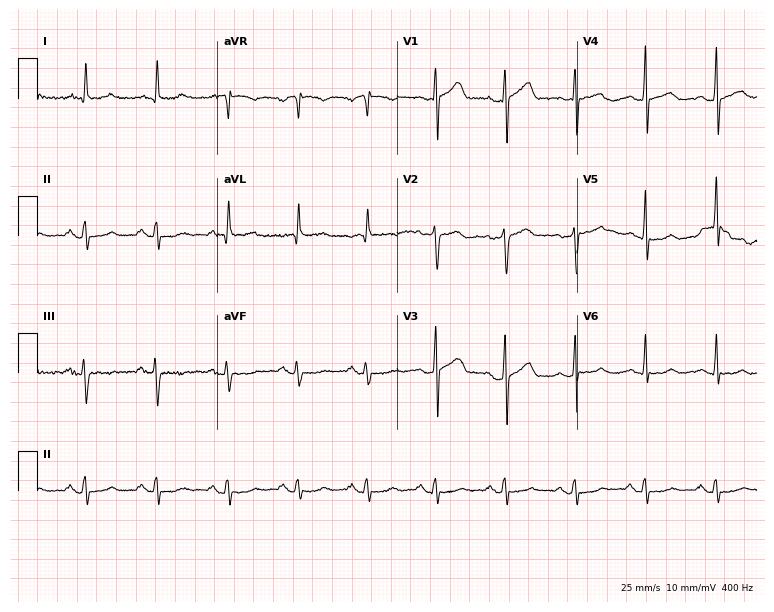
Electrocardiogram (7.3-second recording at 400 Hz), a male patient, 68 years old. Of the six screened findings (first-degree AV block, right bundle branch block (RBBB), left bundle branch block (LBBB), sinus bradycardia, atrial fibrillation (AF), sinus tachycardia), none is recorded.